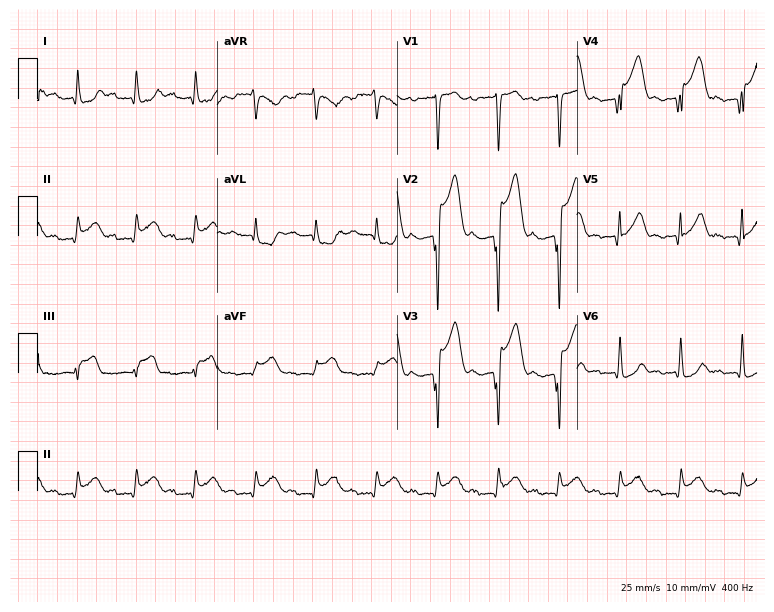
12-lead ECG from an 84-year-old male. Findings include first-degree AV block.